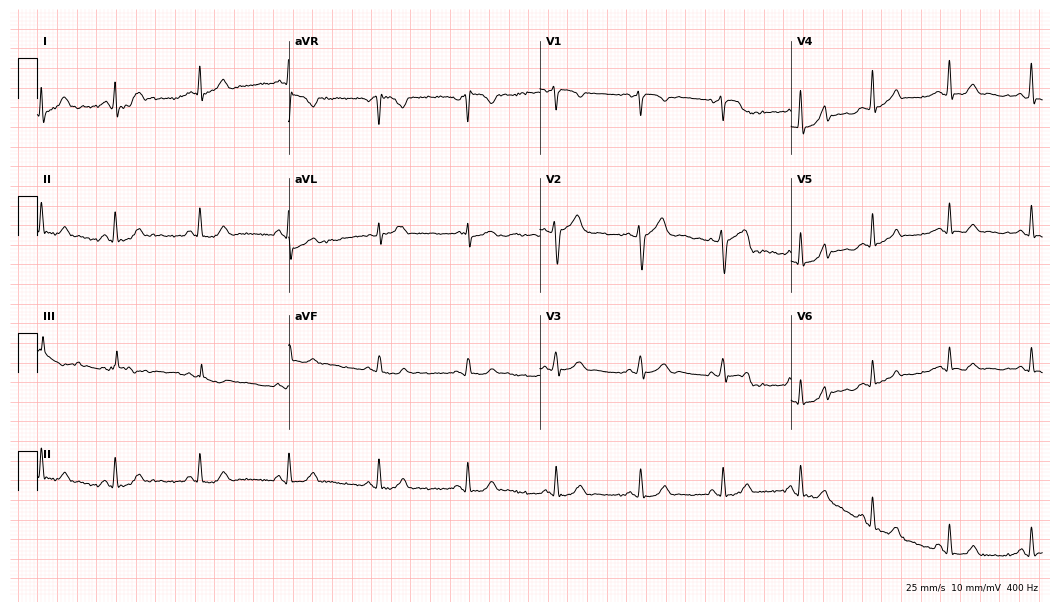
Electrocardiogram, a 41-year-old man. Overall reading on record: normal ECG.